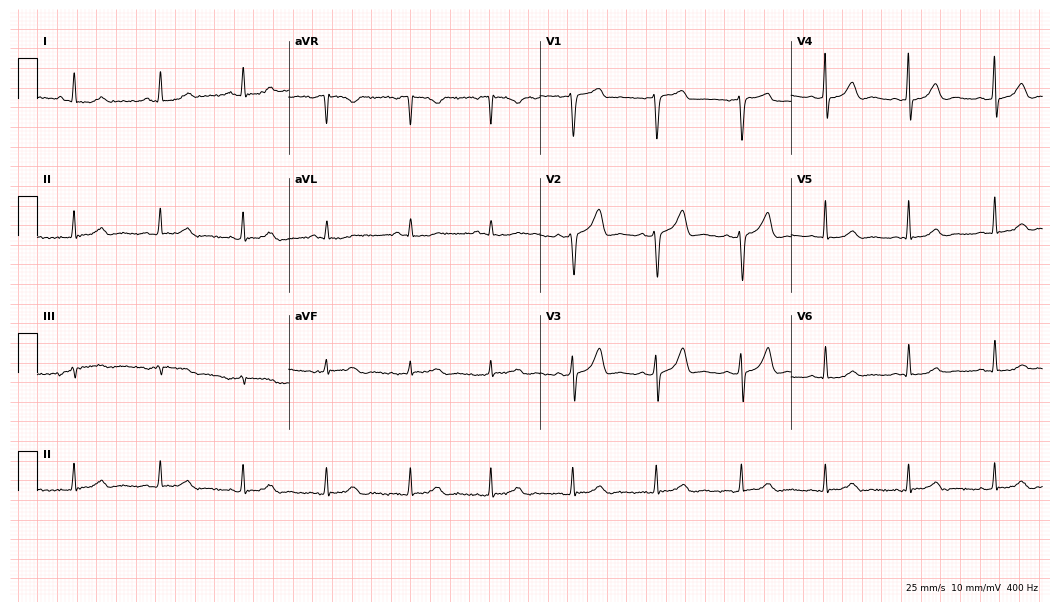
Standard 12-lead ECG recorded from a 51-year-old woman (10.2-second recording at 400 Hz). None of these six findings is recorded: first-degree AV block, right bundle branch block (RBBB), left bundle branch block (LBBB), sinus bradycardia, atrial fibrillation (AF), sinus tachycardia.